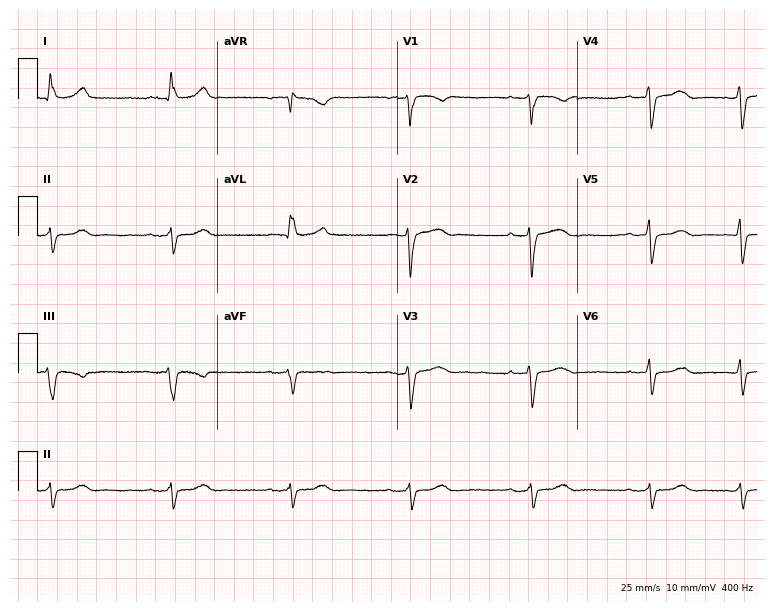
12-lead ECG (7.3-second recording at 400 Hz) from a 77-year-old female patient. Screened for six findings — first-degree AV block, right bundle branch block, left bundle branch block, sinus bradycardia, atrial fibrillation, sinus tachycardia — none is recorded. Other findings, if any, are not listed.